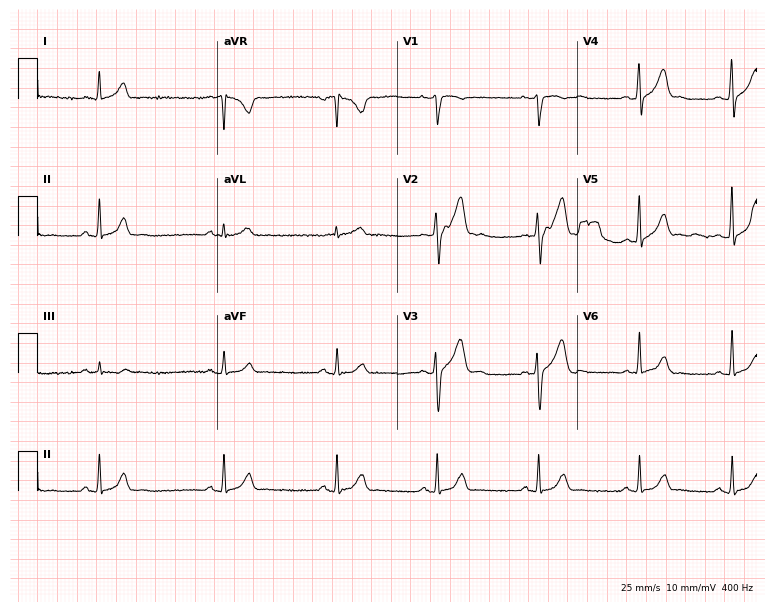
ECG (7.3-second recording at 400 Hz) — a male, 40 years old. Labelled as a normal ECG.